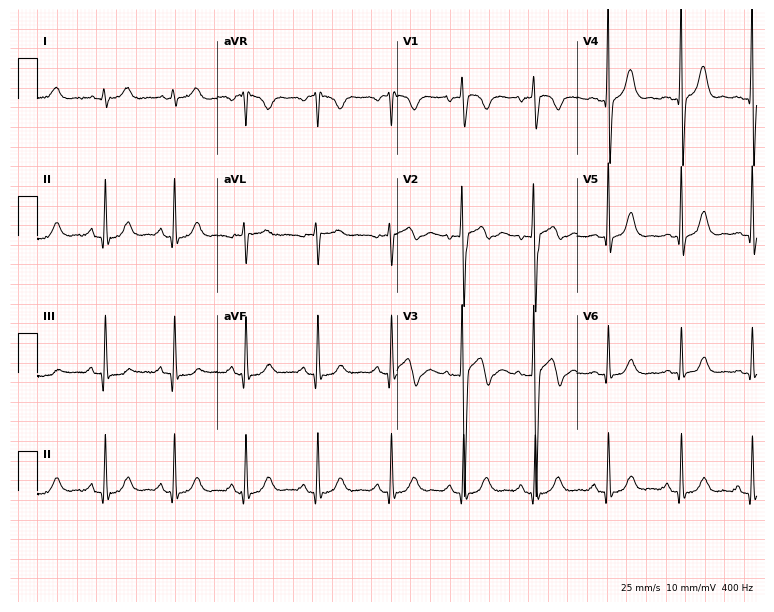
Standard 12-lead ECG recorded from a male, 49 years old. None of these six findings is recorded: first-degree AV block, right bundle branch block (RBBB), left bundle branch block (LBBB), sinus bradycardia, atrial fibrillation (AF), sinus tachycardia.